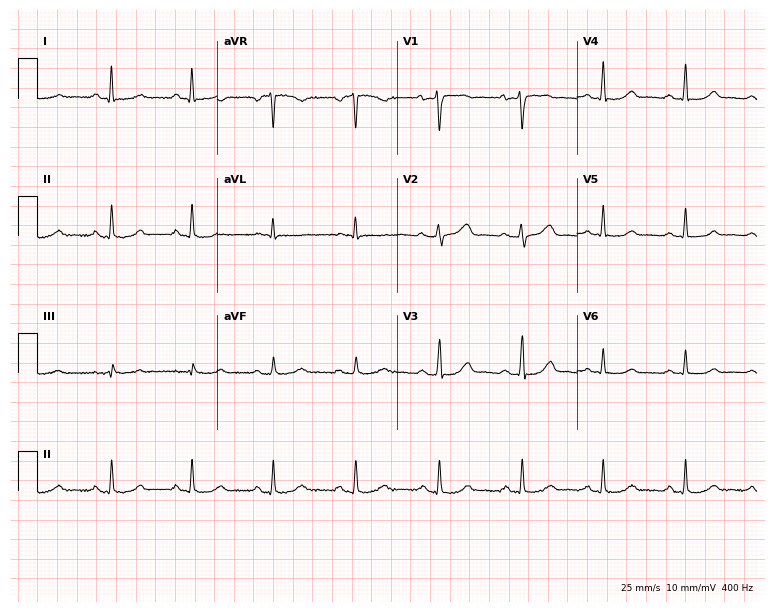
ECG (7.3-second recording at 400 Hz) — a female patient, 49 years old. Labelled as a normal ECG.